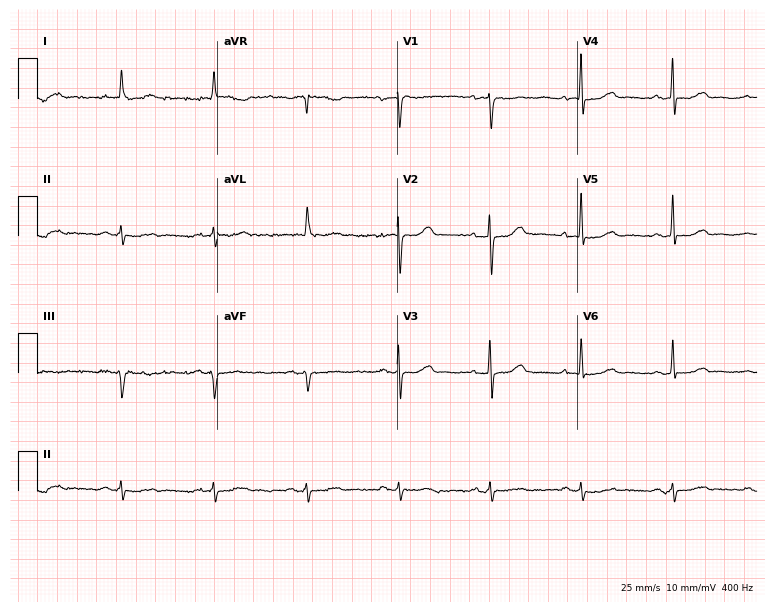
12-lead ECG from a woman, 85 years old. Screened for six findings — first-degree AV block, right bundle branch block, left bundle branch block, sinus bradycardia, atrial fibrillation, sinus tachycardia — none is recorded.